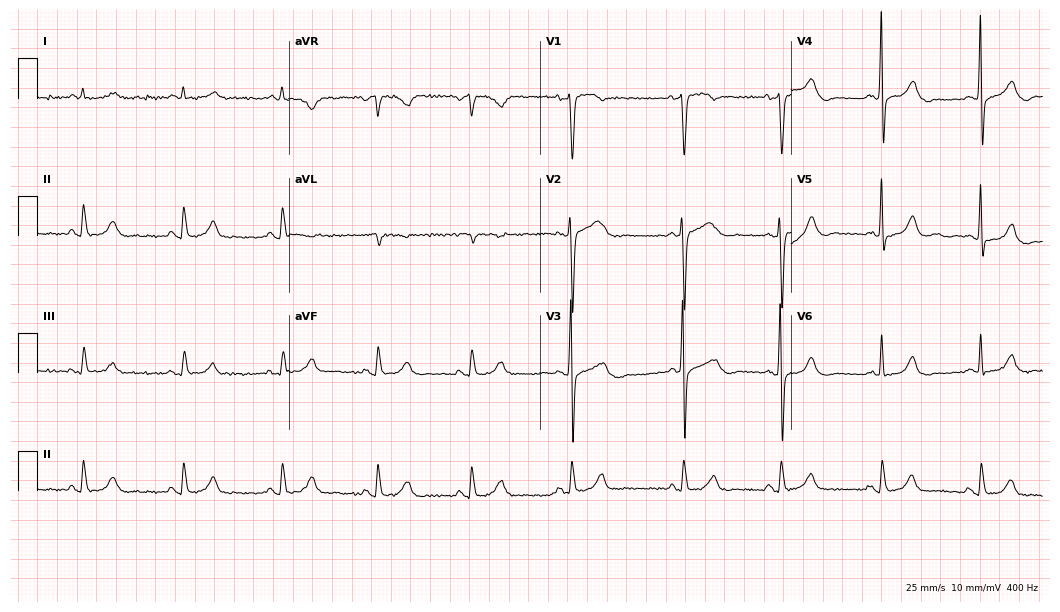
ECG — a male patient, 51 years old. Labelled as a normal ECG.